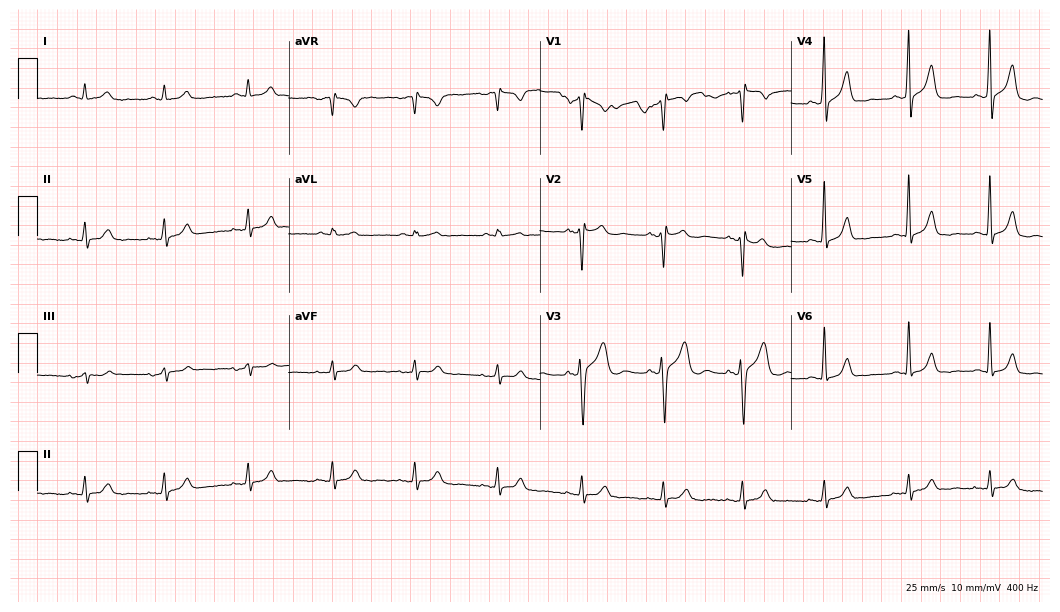
Resting 12-lead electrocardiogram. Patient: a 41-year-old male. Read as a normal ECG.